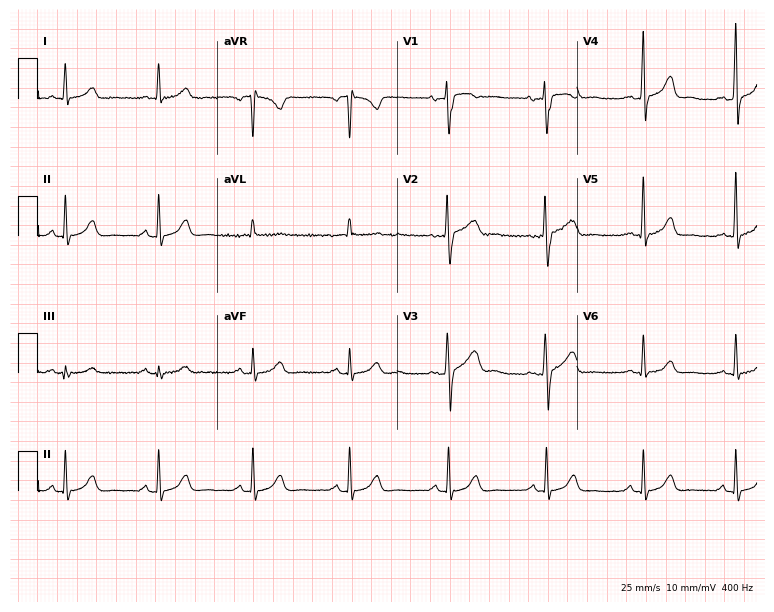
12-lead ECG (7.3-second recording at 400 Hz) from a female, 33 years old. Labelled as a normal ECG.